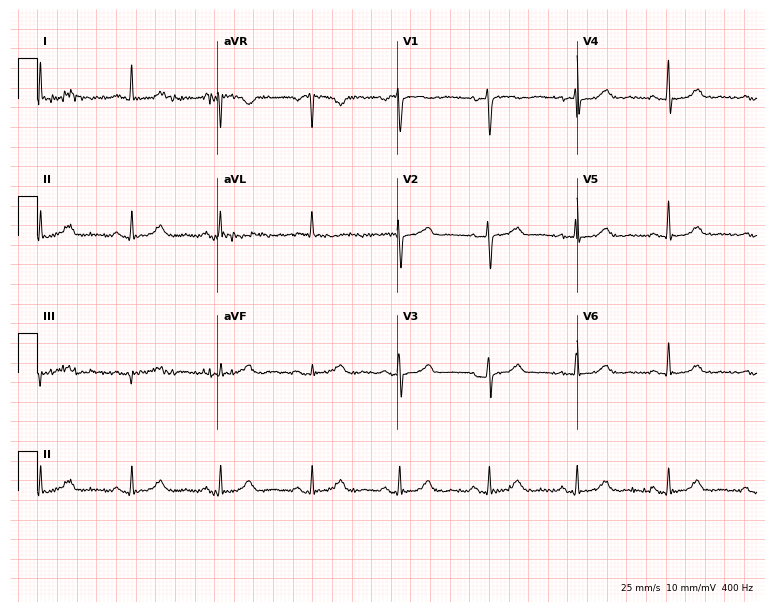
12-lead ECG (7.3-second recording at 400 Hz) from a 67-year-old woman. Labelled as a normal ECG.